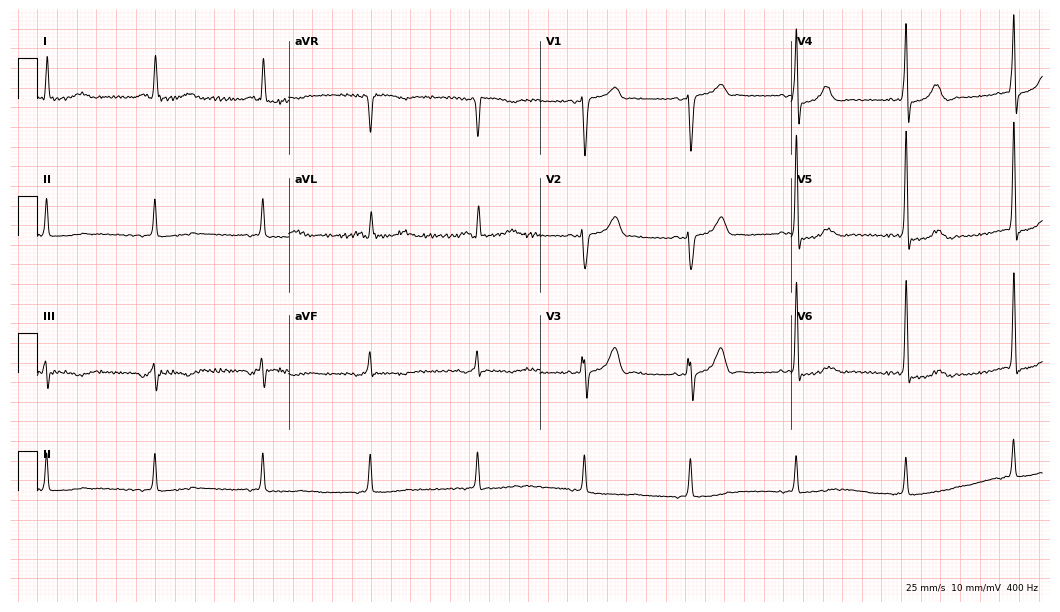
ECG (10.2-second recording at 400 Hz) — a 73-year-old male. Screened for six findings — first-degree AV block, right bundle branch block, left bundle branch block, sinus bradycardia, atrial fibrillation, sinus tachycardia — none is recorded. Only these six findings were labelled.